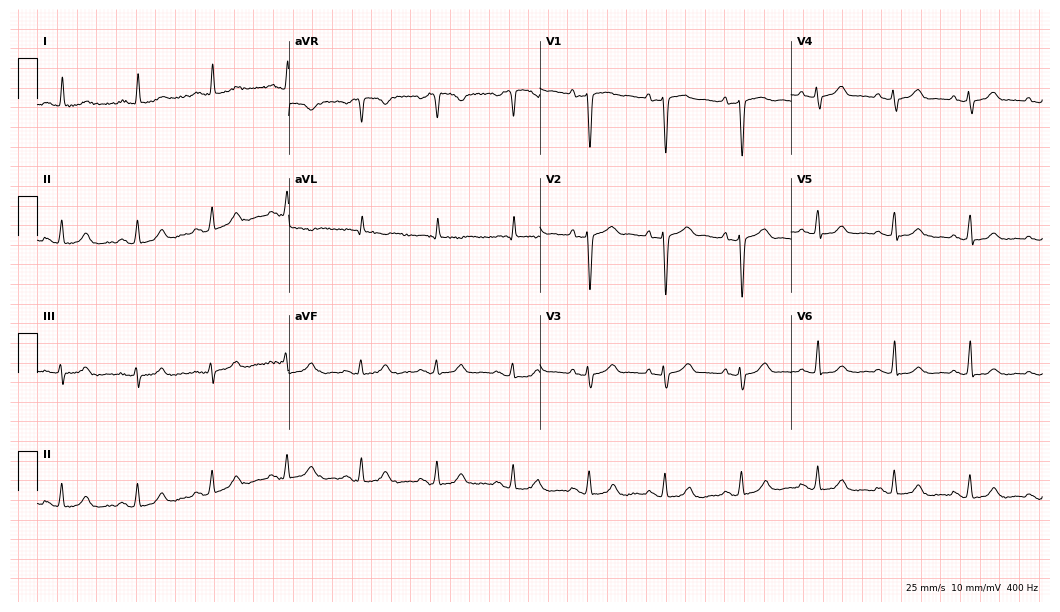
12-lead ECG (10.2-second recording at 400 Hz) from a man, 73 years old. Labelled as a normal ECG.